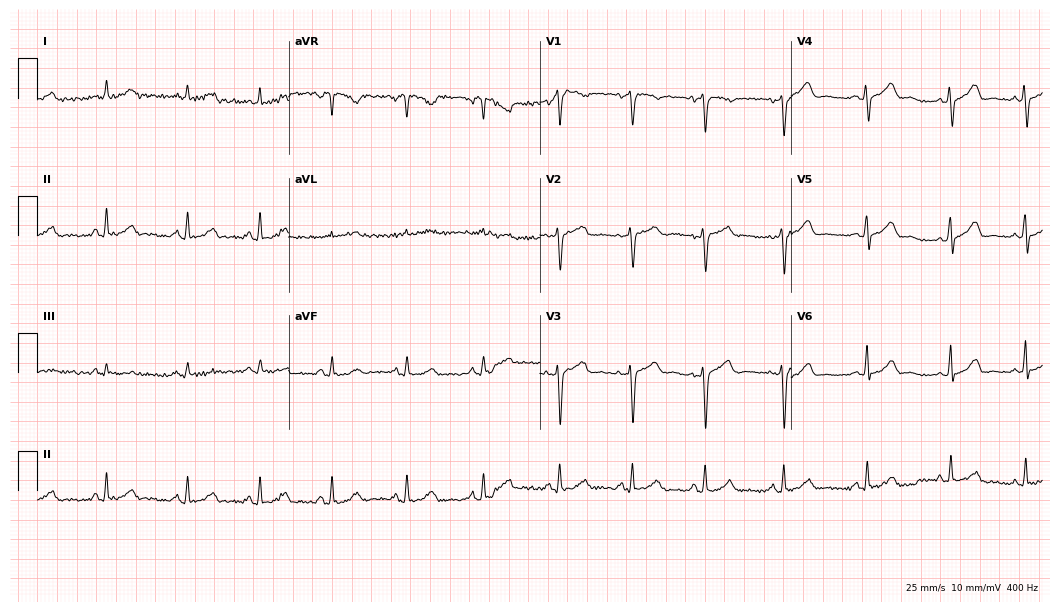
12-lead ECG from a female patient, 32 years old. No first-degree AV block, right bundle branch block, left bundle branch block, sinus bradycardia, atrial fibrillation or sinus tachycardia recorded for this tracing.